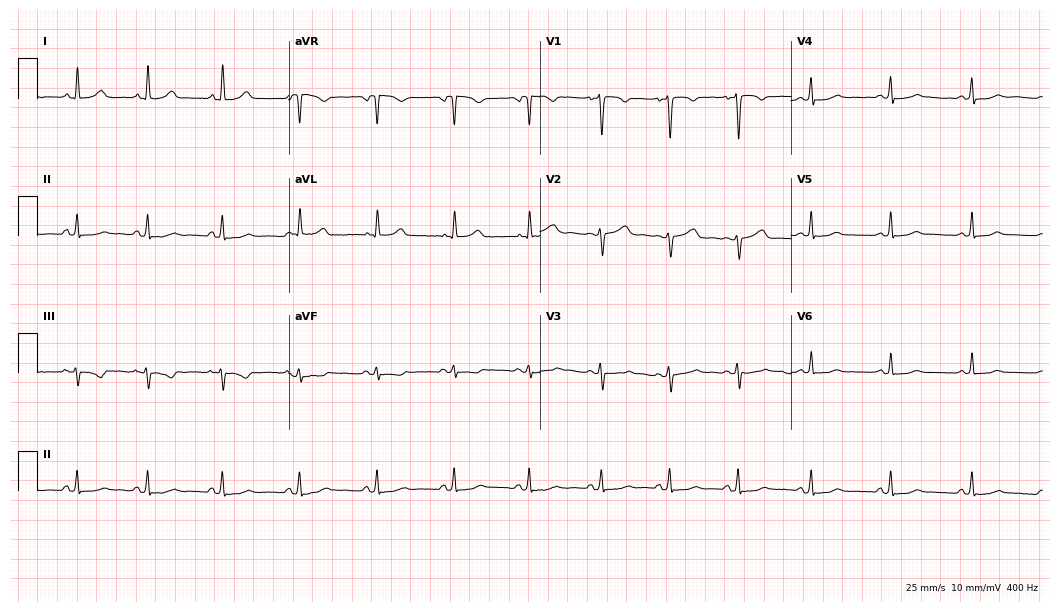
12-lead ECG from a female patient, 25 years old. Screened for six findings — first-degree AV block, right bundle branch block, left bundle branch block, sinus bradycardia, atrial fibrillation, sinus tachycardia — none is recorded.